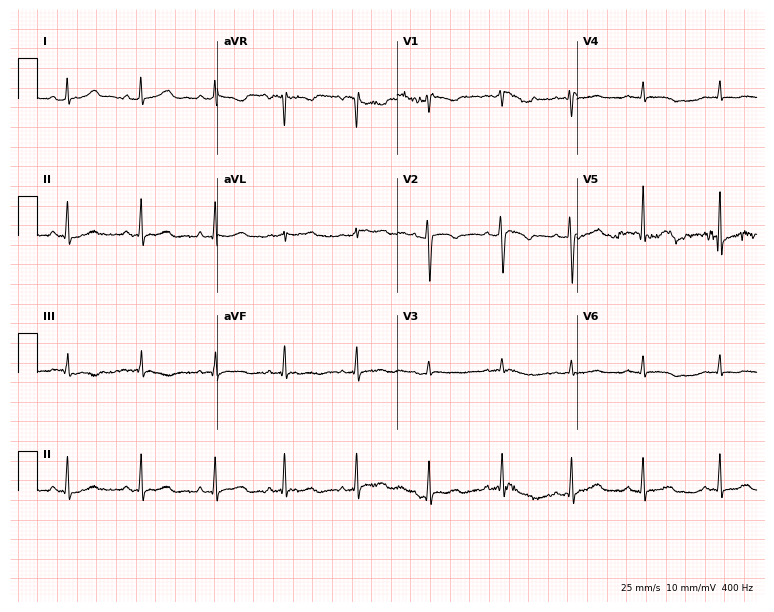
Standard 12-lead ECG recorded from a woman, 30 years old (7.3-second recording at 400 Hz). None of these six findings is recorded: first-degree AV block, right bundle branch block, left bundle branch block, sinus bradycardia, atrial fibrillation, sinus tachycardia.